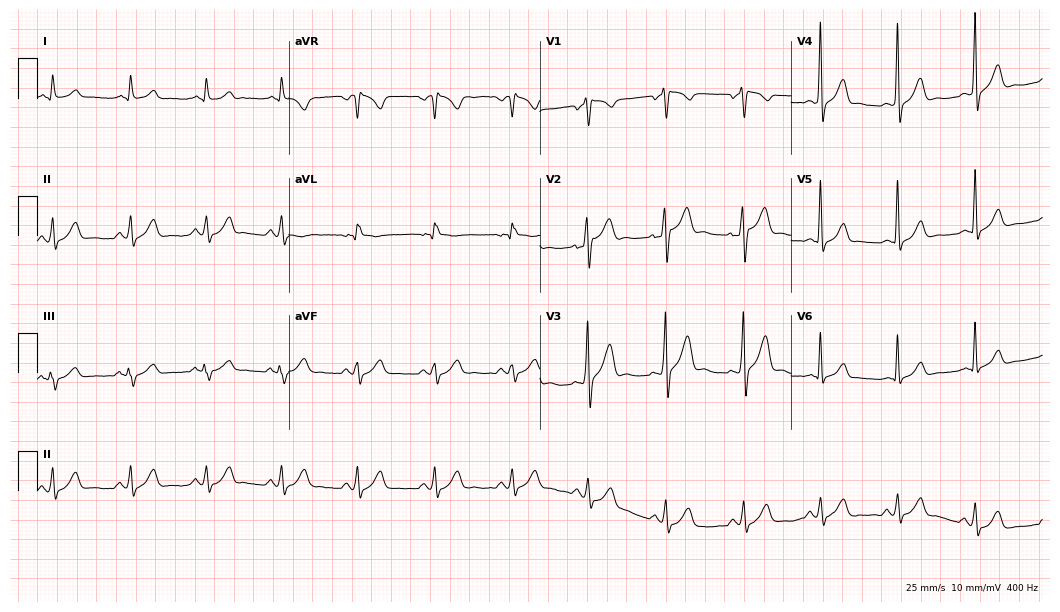
12-lead ECG (10.2-second recording at 400 Hz) from a 52-year-old male. Labelled as a normal ECG.